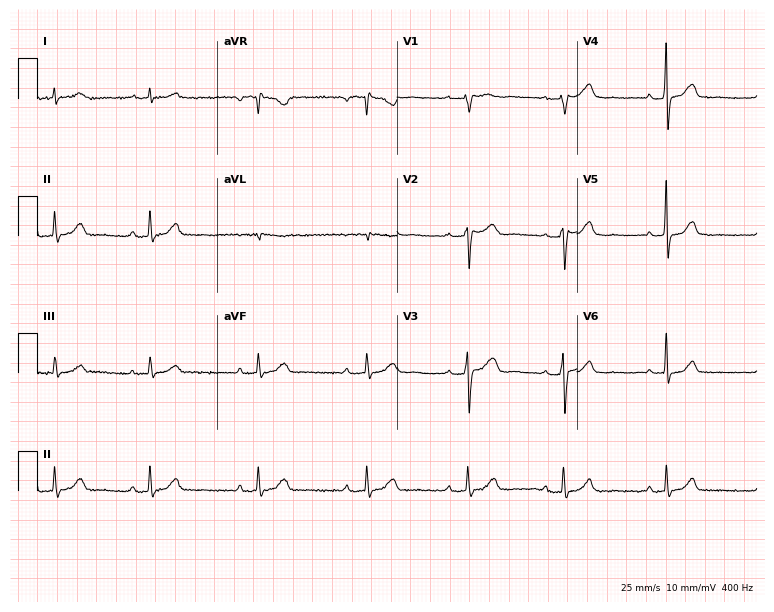
ECG — a 50-year-old female. Screened for six findings — first-degree AV block, right bundle branch block (RBBB), left bundle branch block (LBBB), sinus bradycardia, atrial fibrillation (AF), sinus tachycardia — none is recorded. Other findings, if any, are not listed.